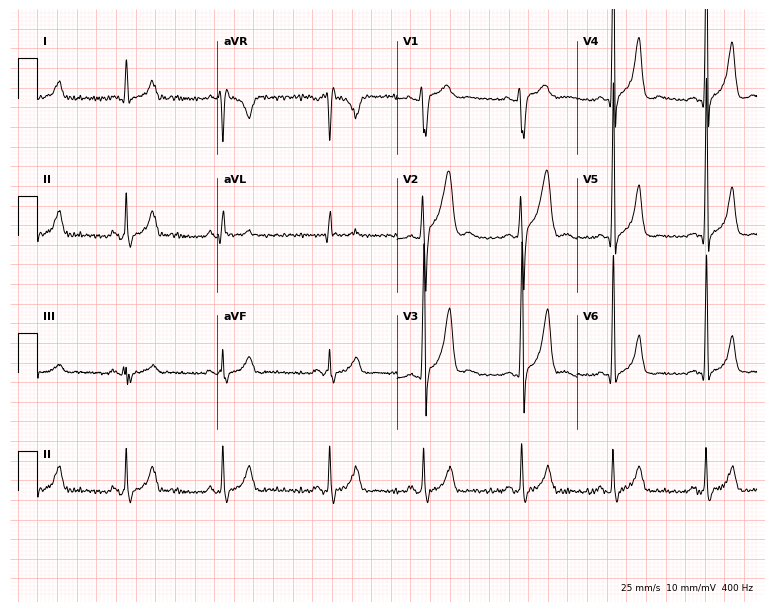
Resting 12-lead electrocardiogram. Patient: a male, 20 years old. None of these six findings is recorded: first-degree AV block, right bundle branch block, left bundle branch block, sinus bradycardia, atrial fibrillation, sinus tachycardia. Other findings, if any, are not listed.